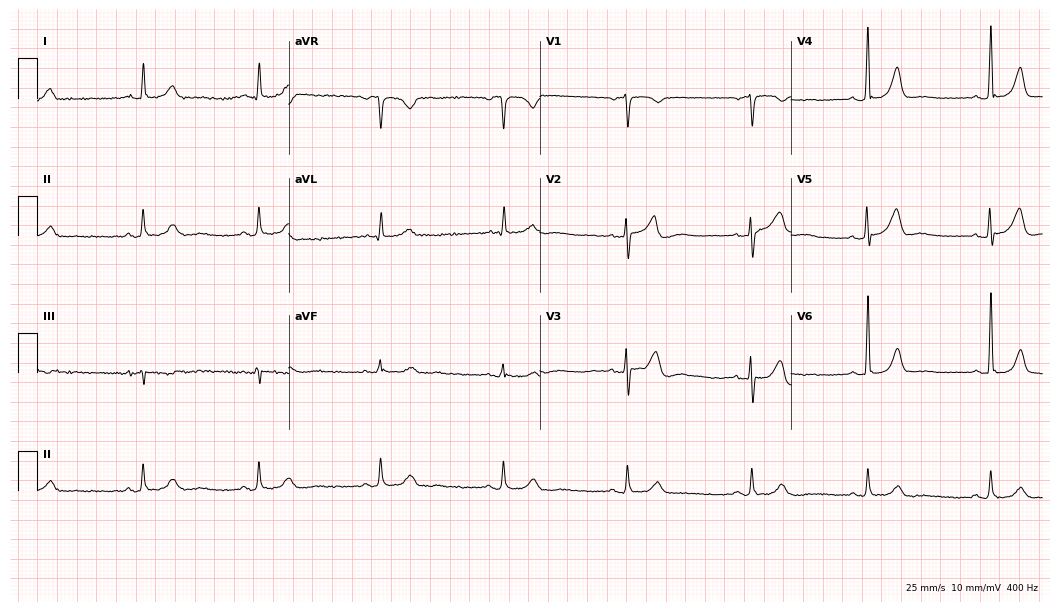
ECG — a 67-year-old female. Labelled as a normal ECG.